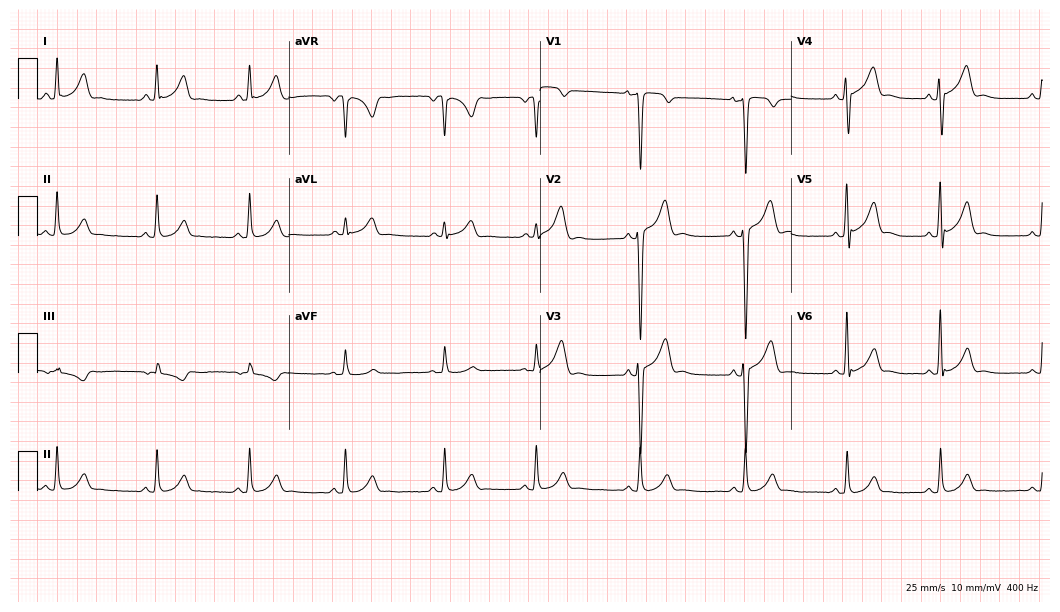
Resting 12-lead electrocardiogram. Patient: a 68-year-old woman. None of these six findings is recorded: first-degree AV block, right bundle branch block (RBBB), left bundle branch block (LBBB), sinus bradycardia, atrial fibrillation (AF), sinus tachycardia.